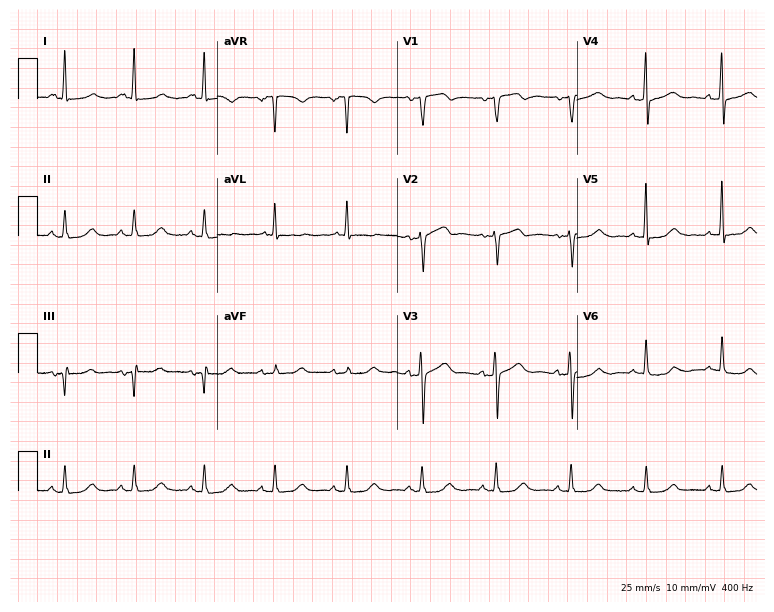
12-lead ECG from a 76-year-old woman (7.3-second recording at 400 Hz). No first-degree AV block, right bundle branch block, left bundle branch block, sinus bradycardia, atrial fibrillation or sinus tachycardia recorded for this tracing.